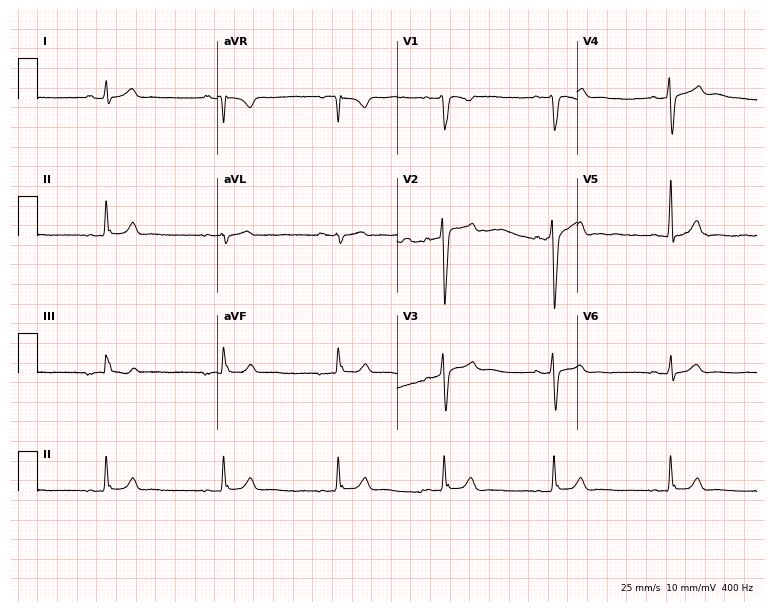
12-lead ECG from a 34-year-old male. No first-degree AV block, right bundle branch block, left bundle branch block, sinus bradycardia, atrial fibrillation or sinus tachycardia recorded for this tracing.